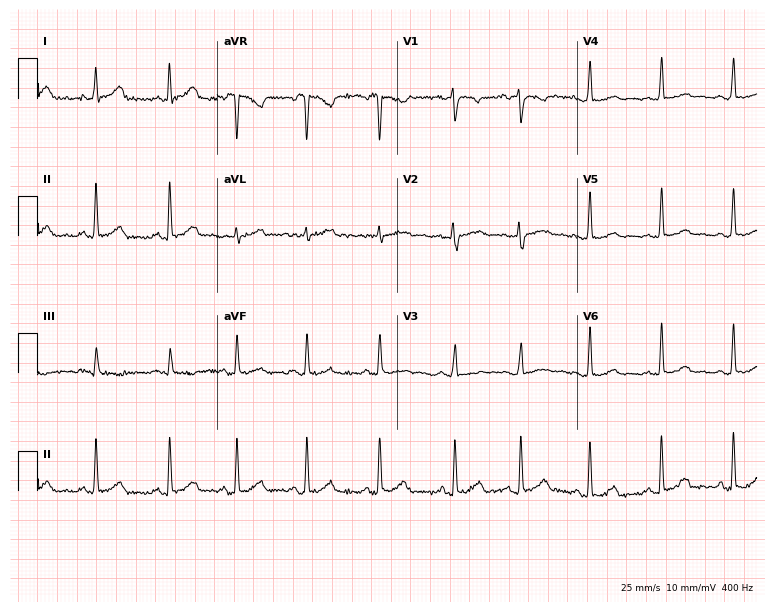
Standard 12-lead ECG recorded from a 21-year-old female patient. Read as a normal ECG.